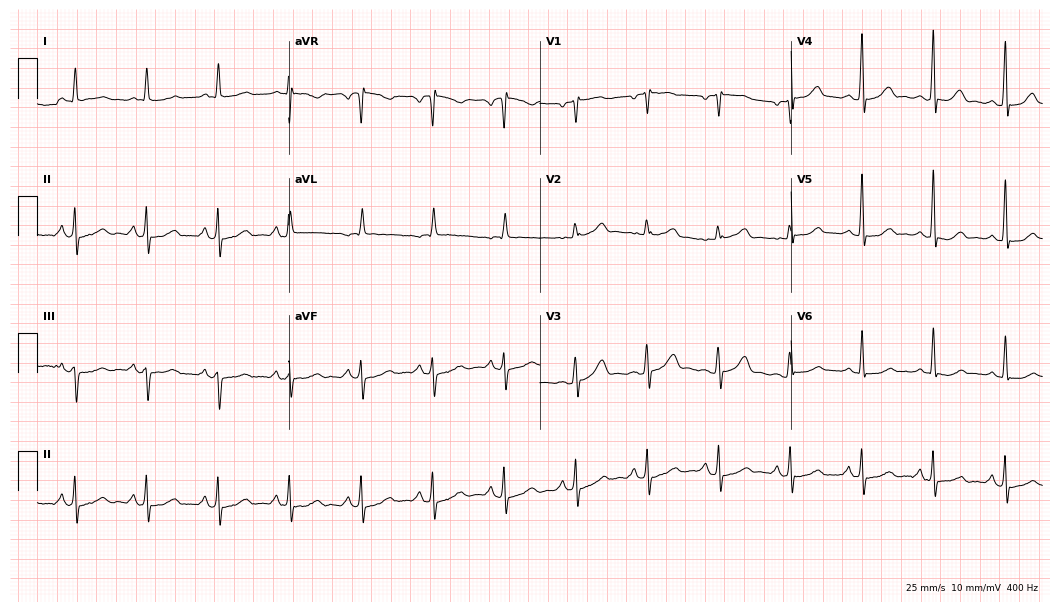
Electrocardiogram (10.2-second recording at 400 Hz), a female, 63 years old. Of the six screened findings (first-degree AV block, right bundle branch block, left bundle branch block, sinus bradycardia, atrial fibrillation, sinus tachycardia), none is recorded. Only these six findings were labelled.